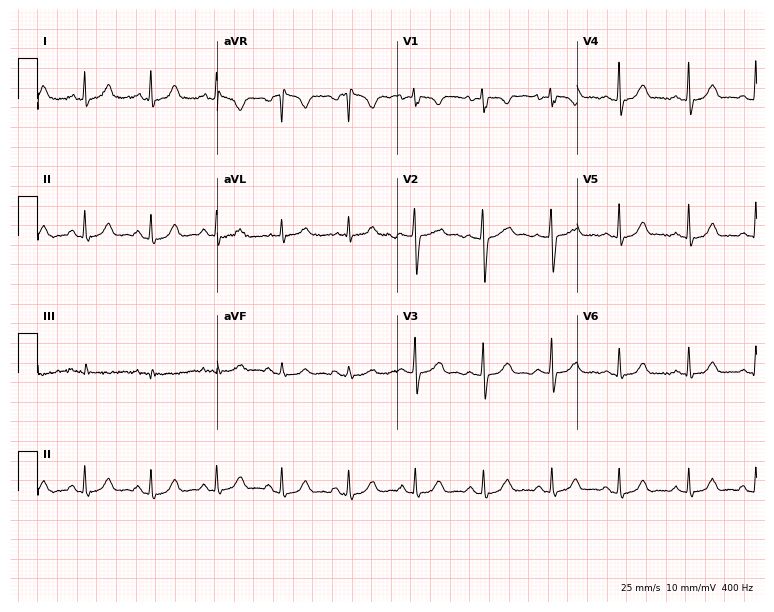
12-lead ECG from a female, 22 years old (7.3-second recording at 400 Hz). Recorded interpretation: within normal limits.